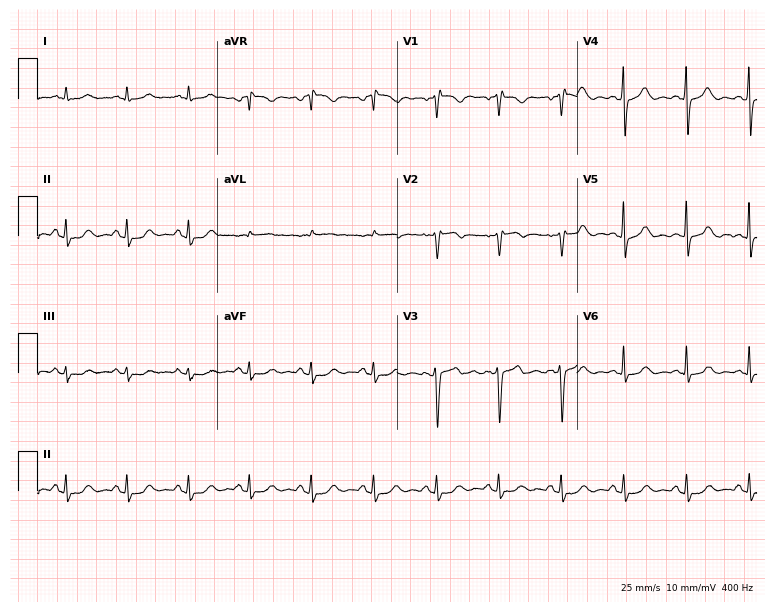
12-lead ECG from a man, 57 years old (7.3-second recording at 400 Hz). No first-degree AV block, right bundle branch block, left bundle branch block, sinus bradycardia, atrial fibrillation or sinus tachycardia recorded for this tracing.